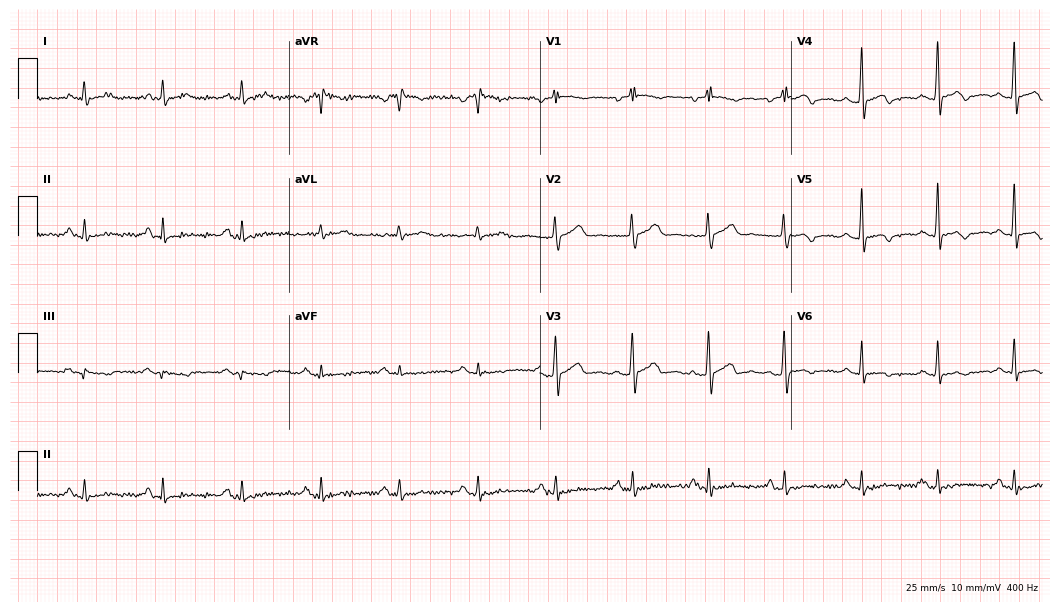
Standard 12-lead ECG recorded from a male patient, 63 years old (10.2-second recording at 400 Hz). None of these six findings is recorded: first-degree AV block, right bundle branch block (RBBB), left bundle branch block (LBBB), sinus bradycardia, atrial fibrillation (AF), sinus tachycardia.